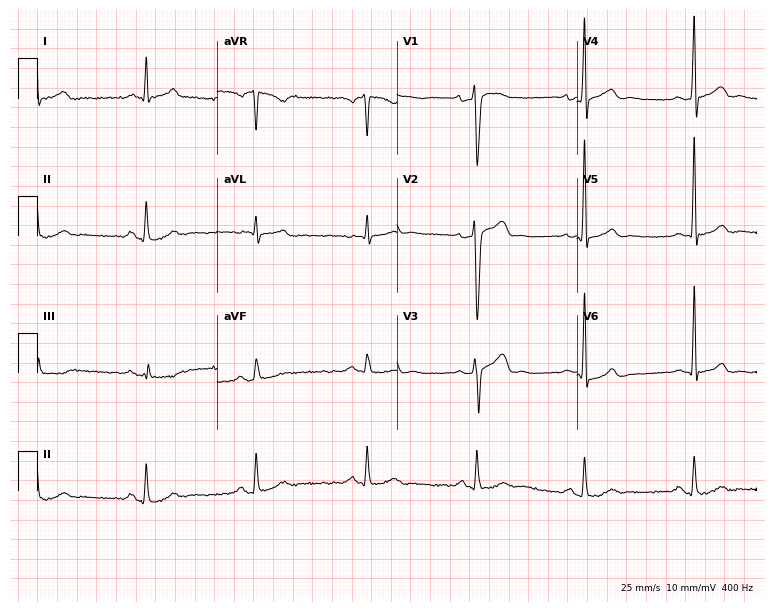
Resting 12-lead electrocardiogram (7.3-second recording at 400 Hz). Patient: a 54-year-old male. None of these six findings is recorded: first-degree AV block, right bundle branch block, left bundle branch block, sinus bradycardia, atrial fibrillation, sinus tachycardia.